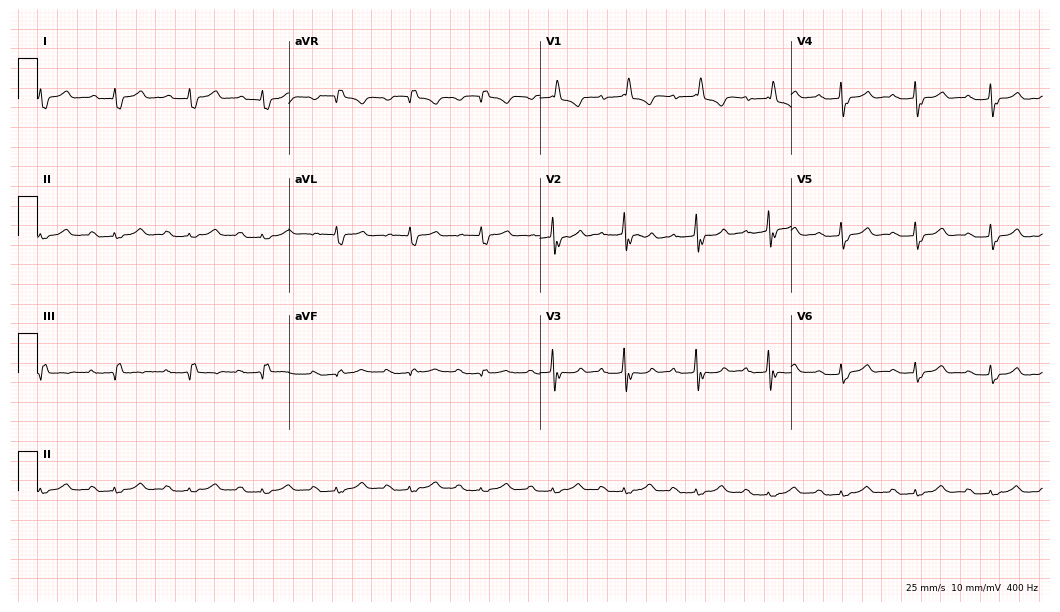
12-lead ECG from a female patient, 74 years old. Findings include first-degree AV block, right bundle branch block.